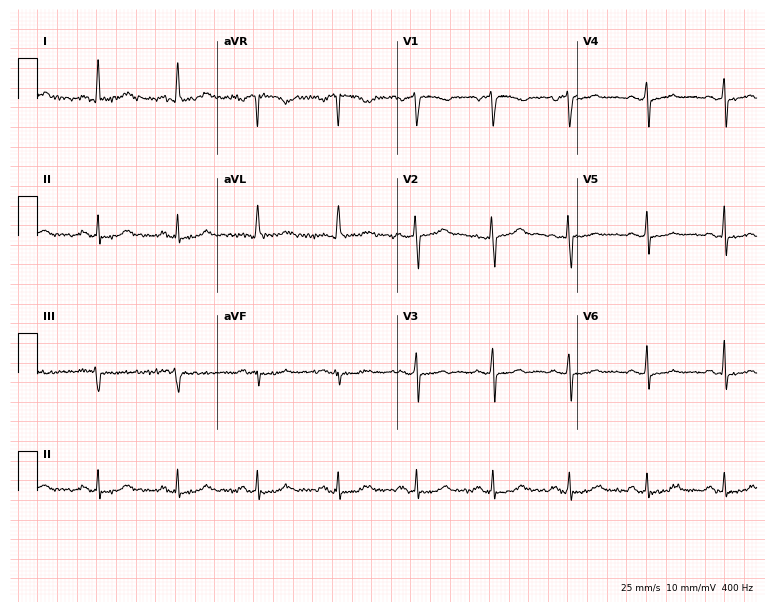
ECG — a 43-year-old female. Screened for six findings — first-degree AV block, right bundle branch block (RBBB), left bundle branch block (LBBB), sinus bradycardia, atrial fibrillation (AF), sinus tachycardia — none is recorded.